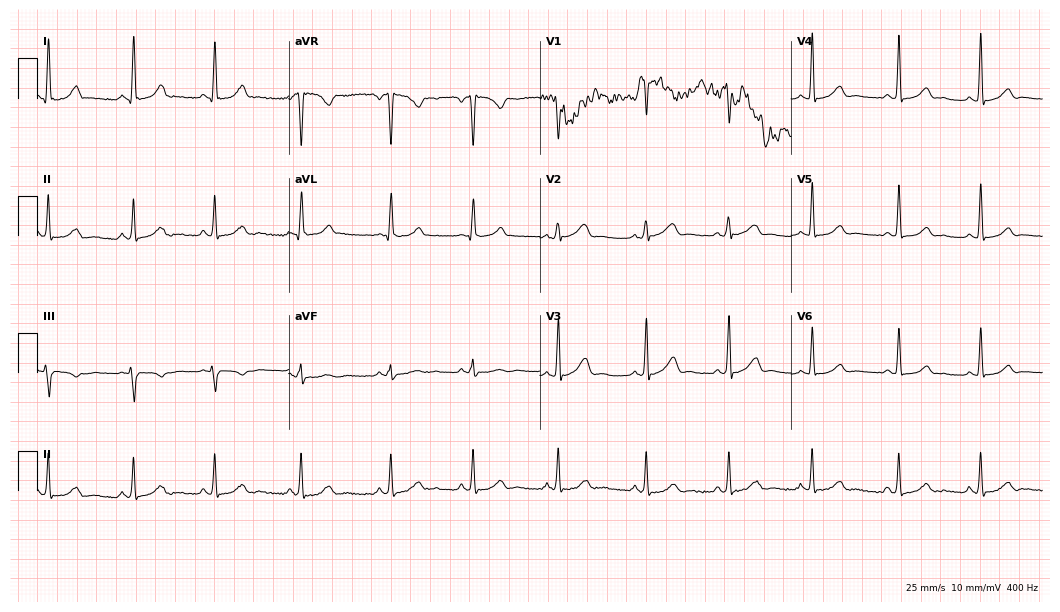
Standard 12-lead ECG recorded from a 38-year-old female patient (10.2-second recording at 400 Hz). None of these six findings is recorded: first-degree AV block, right bundle branch block, left bundle branch block, sinus bradycardia, atrial fibrillation, sinus tachycardia. Findings outside these six are not listed.